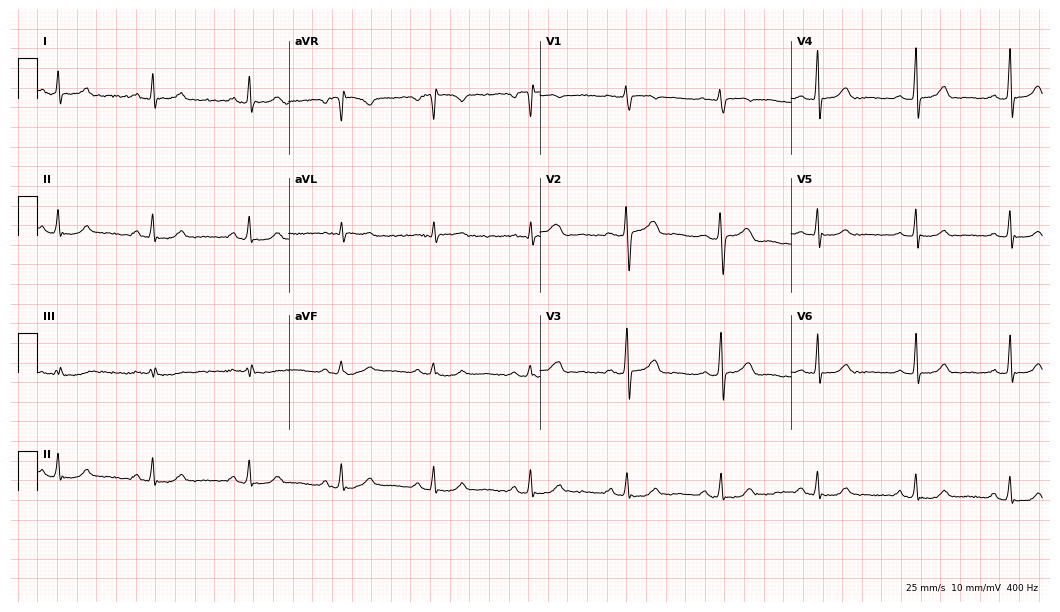
ECG (10.2-second recording at 400 Hz) — a 41-year-old female. Labelled as a normal ECG.